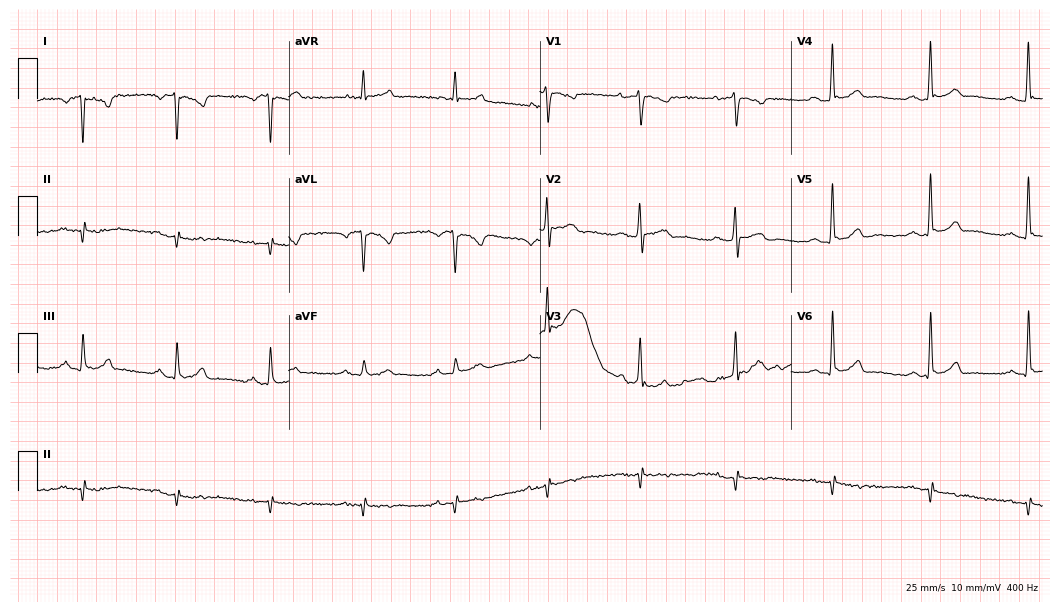
ECG (10.2-second recording at 400 Hz) — a 43-year-old male. Screened for six findings — first-degree AV block, right bundle branch block, left bundle branch block, sinus bradycardia, atrial fibrillation, sinus tachycardia — none is recorded. Other findings, if any, are not listed.